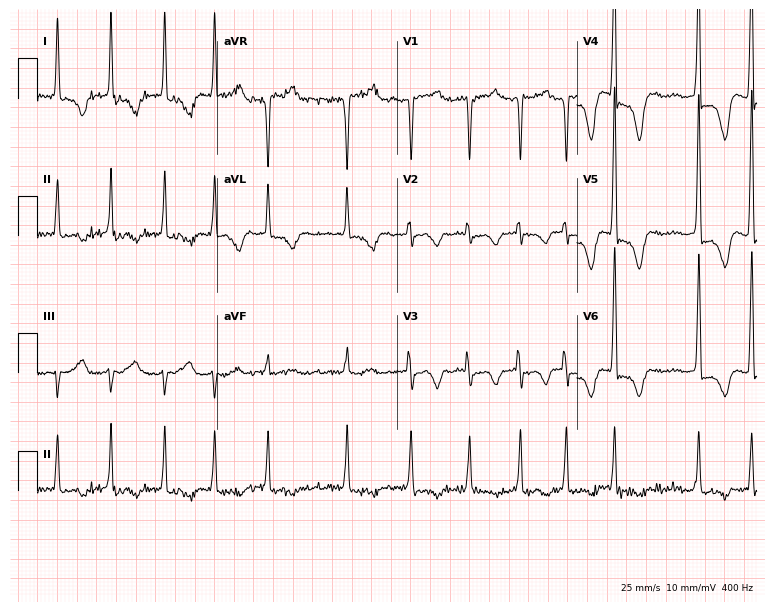
Standard 12-lead ECG recorded from a female, 67 years old (7.3-second recording at 400 Hz). None of these six findings is recorded: first-degree AV block, right bundle branch block (RBBB), left bundle branch block (LBBB), sinus bradycardia, atrial fibrillation (AF), sinus tachycardia. Findings outside these six are not listed.